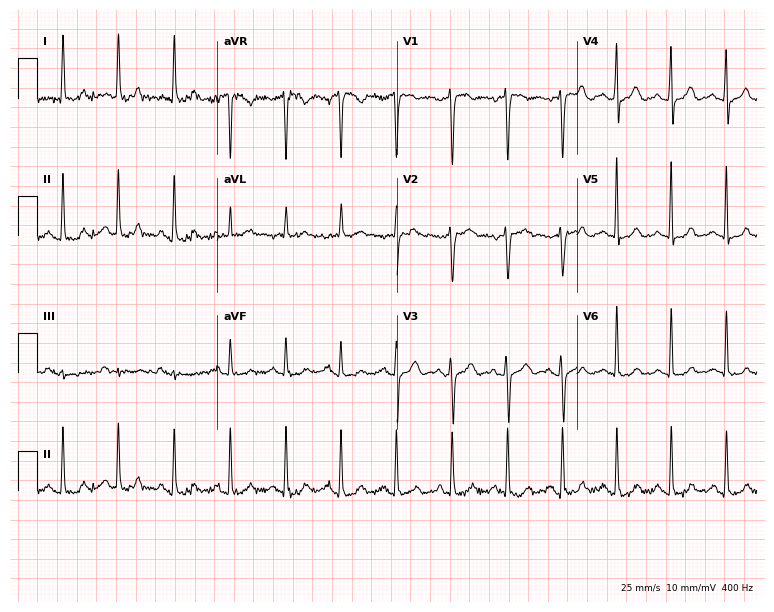
Resting 12-lead electrocardiogram (7.3-second recording at 400 Hz). Patient: a 50-year-old female. The tracing shows sinus tachycardia (a sinus rate of 100 beats per minute or more).